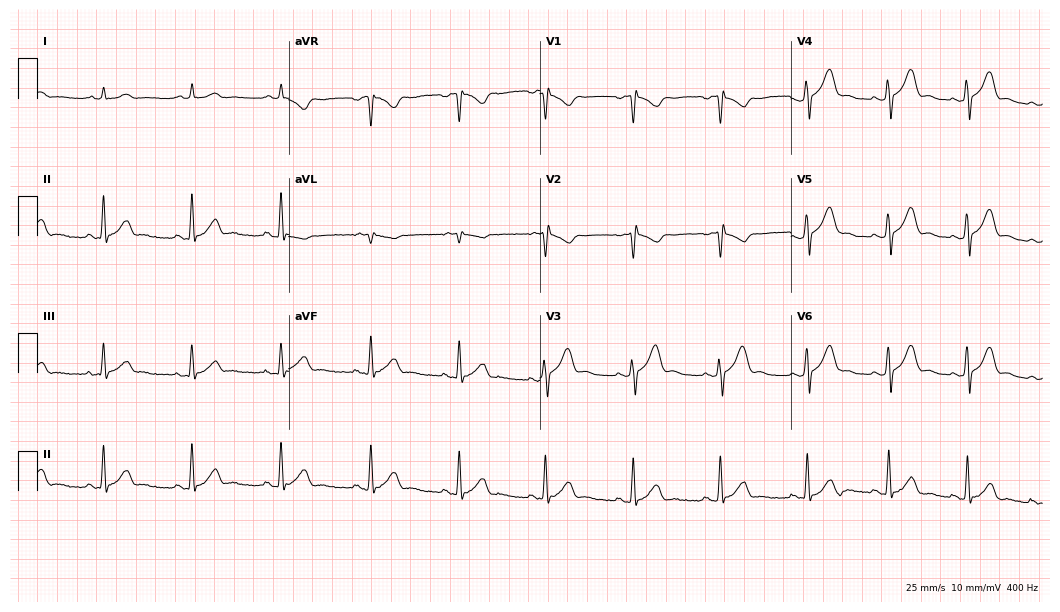
Electrocardiogram (10.2-second recording at 400 Hz), a 36-year-old male patient. Of the six screened findings (first-degree AV block, right bundle branch block, left bundle branch block, sinus bradycardia, atrial fibrillation, sinus tachycardia), none is recorded. Other findings, if any, are not listed.